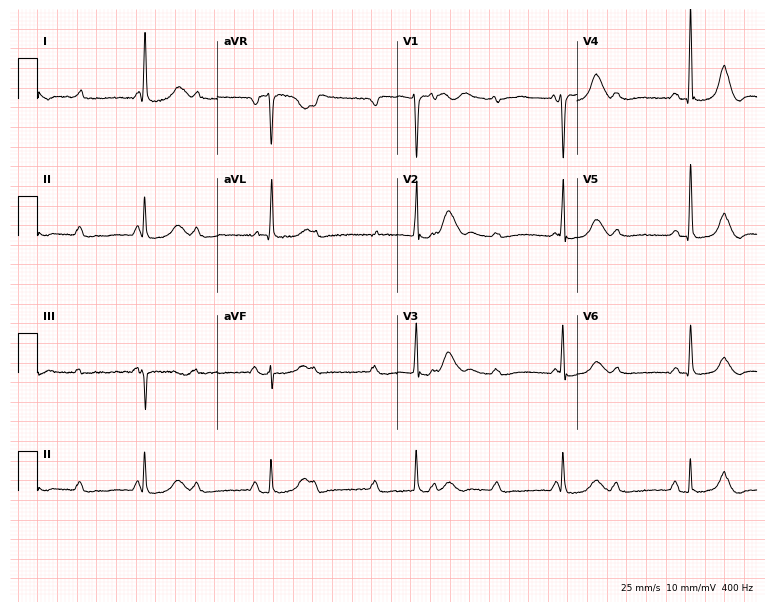
Resting 12-lead electrocardiogram. Patient: a woman, 78 years old. None of these six findings is recorded: first-degree AV block, right bundle branch block (RBBB), left bundle branch block (LBBB), sinus bradycardia, atrial fibrillation (AF), sinus tachycardia. Only these six findings were labelled.